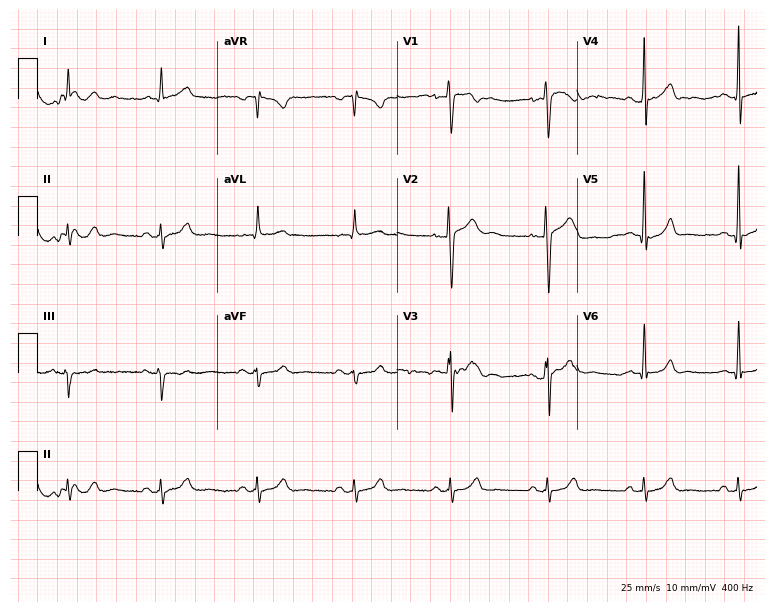
Electrocardiogram, a 39-year-old male patient. Overall reading on record: normal ECG.